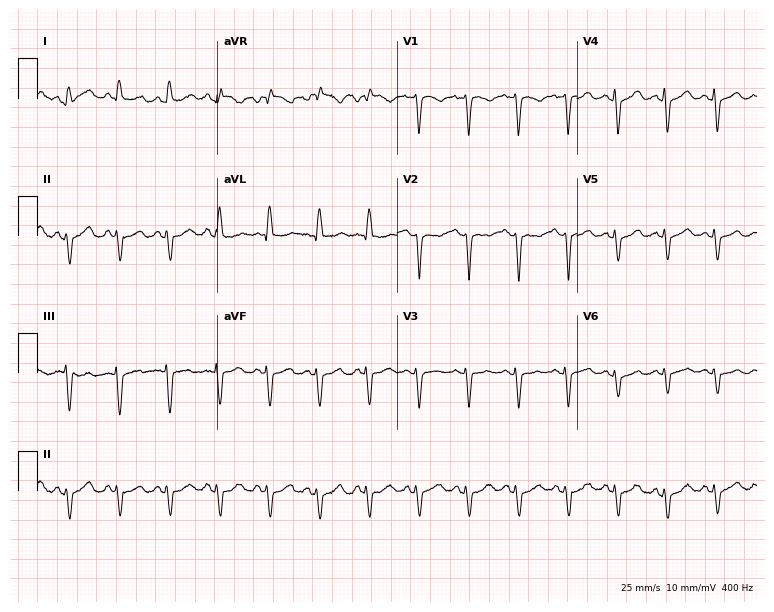
12-lead ECG (7.3-second recording at 400 Hz) from a female patient, 63 years old. Findings include sinus tachycardia (a sinus rate of 100 beats per minute or more).